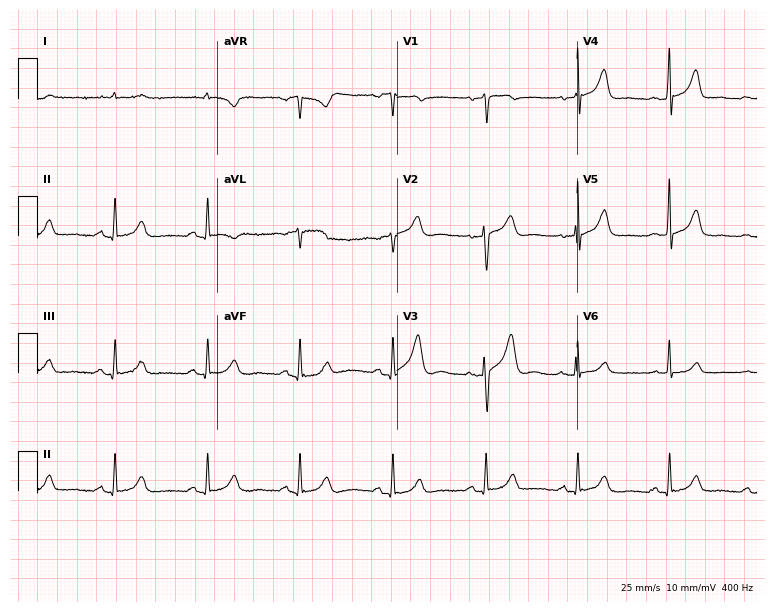
Standard 12-lead ECG recorded from a male, 62 years old. Read as a normal ECG.